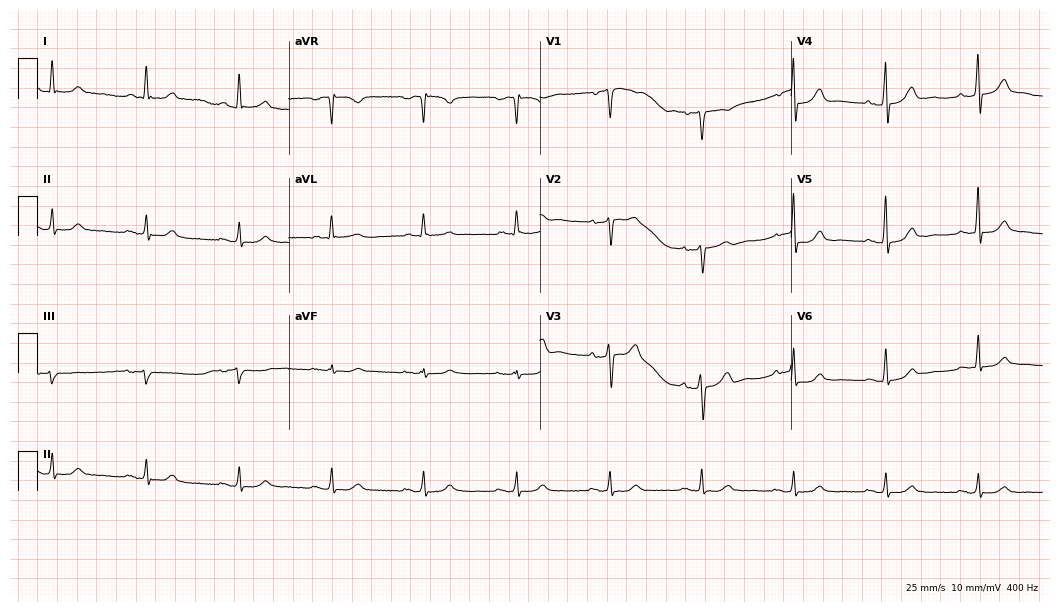
ECG — a male, 73 years old. Labelled as a normal ECG.